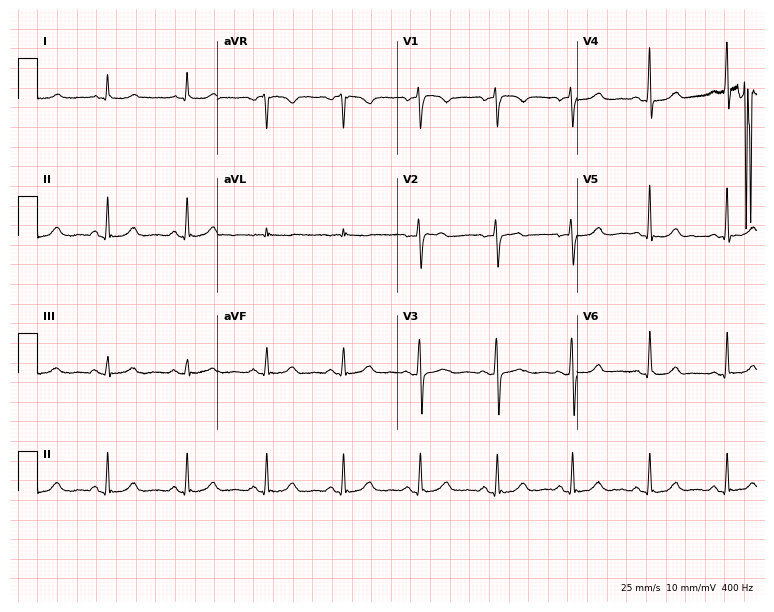
12-lead ECG from a 37-year-old female. Labelled as a normal ECG.